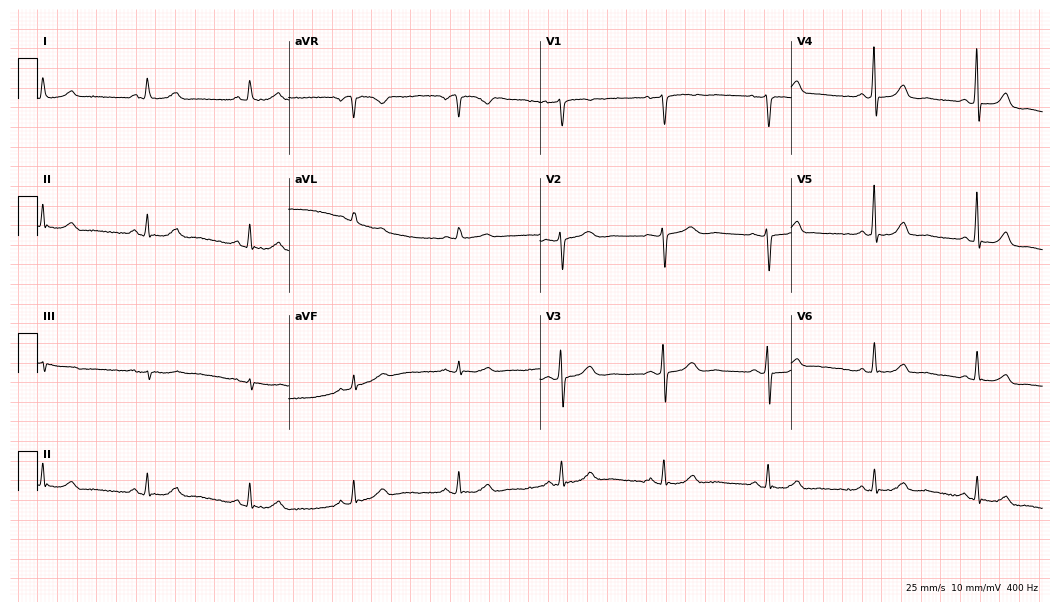
12-lead ECG (10.2-second recording at 400 Hz) from a 63-year-old female patient. Labelled as a normal ECG.